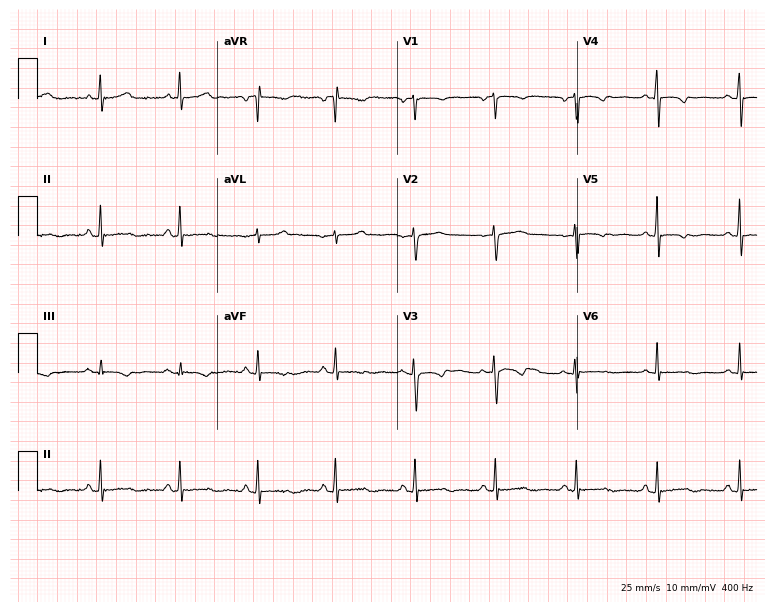
ECG (7.3-second recording at 400 Hz) — a 30-year-old female patient. Labelled as a normal ECG.